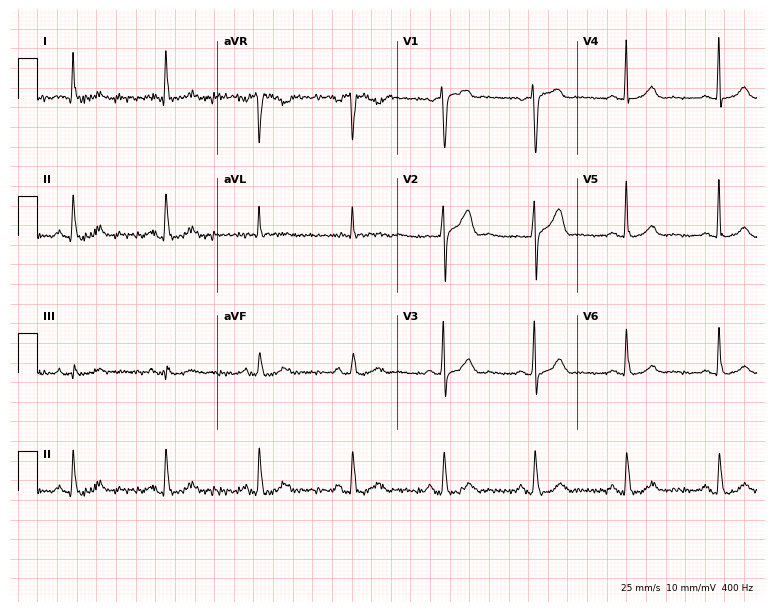
Resting 12-lead electrocardiogram. Patient: a 64-year-old woman. Read as a normal ECG.